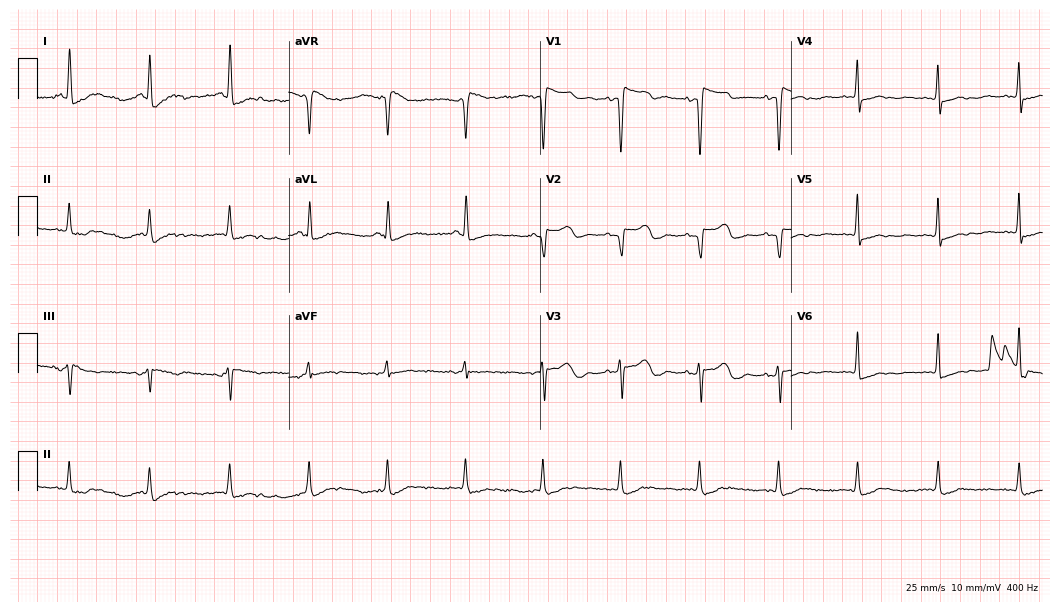
12-lead ECG from a woman, 61 years old. Screened for six findings — first-degree AV block, right bundle branch block, left bundle branch block, sinus bradycardia, atrial fibrillation, sinus tachycardia — none is recorded.